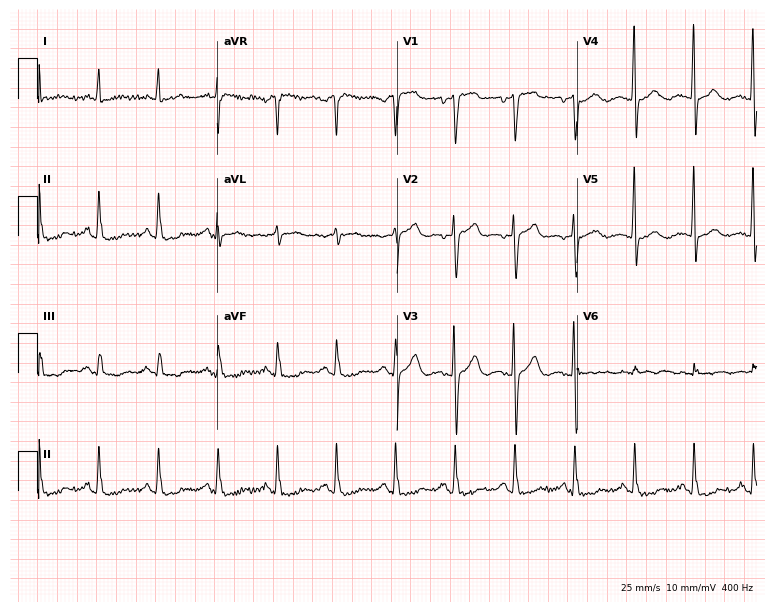
ECG (7.3-second recording at 400 Hz) — a man, 73 years old. Labelled as a normal ECG.